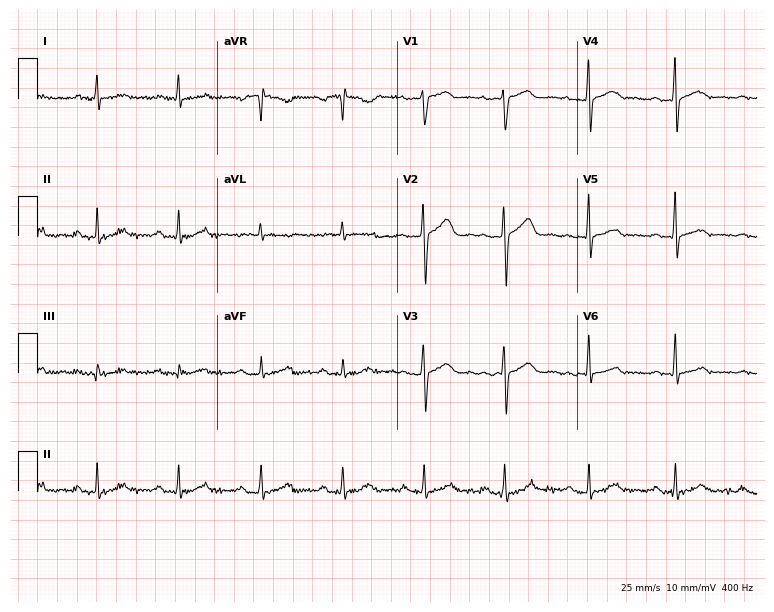
Standard 12-lead ECG recorded from a 48-year-old male. None of these six findings is recorded: first-degree AV block, right bundle branch block (RBBB), left bundle branch block (LBBB), sinus bradycardia, atrial fibrillation (AF), sinus tachycardia. Only these six findings were labelled.